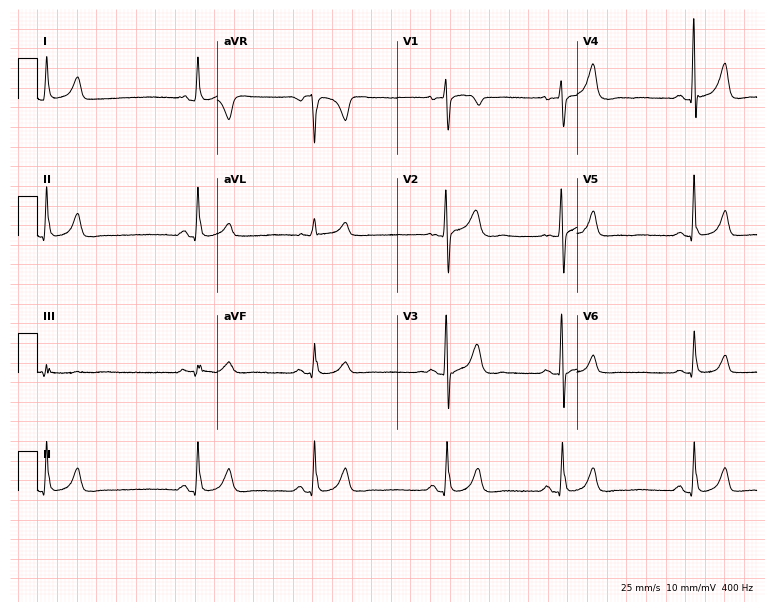
ECG — a 79-year-old female patient. Screened for six findings — first-degree AV block, right bundle branch block, left bundle branch block, sinus bradycardia, atrial fibrillation, sinus tachycardia — none is recorded.